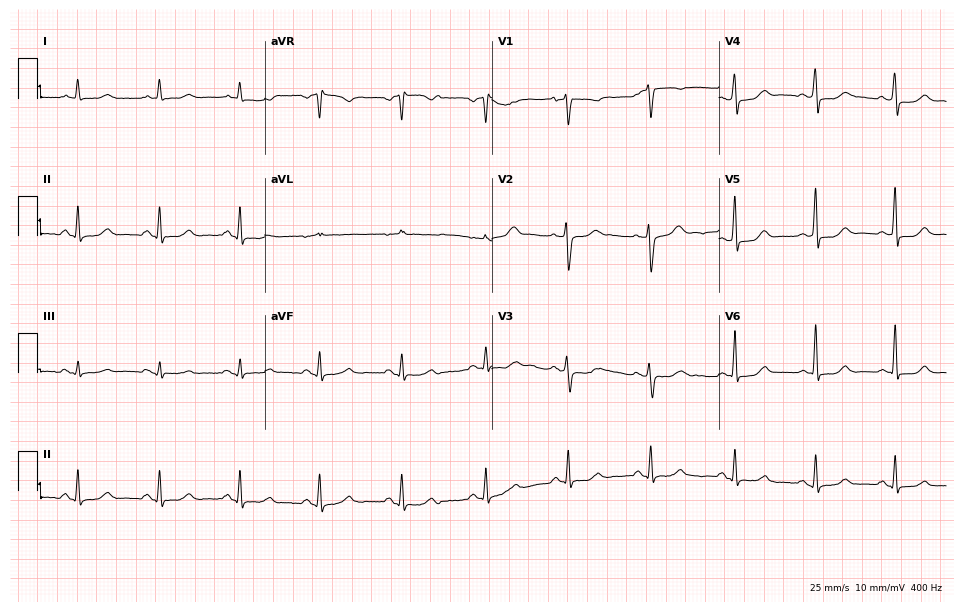
Standard 12-lead ECG recorded from a woman, 50 years old (9.3-second recording at 400 Hz). None of these six findings is recorded: first-degree AV block, right bundle branch block, left bundle branch block, sinus bradycardia, atrial fibrillation, sinus tachycardia.